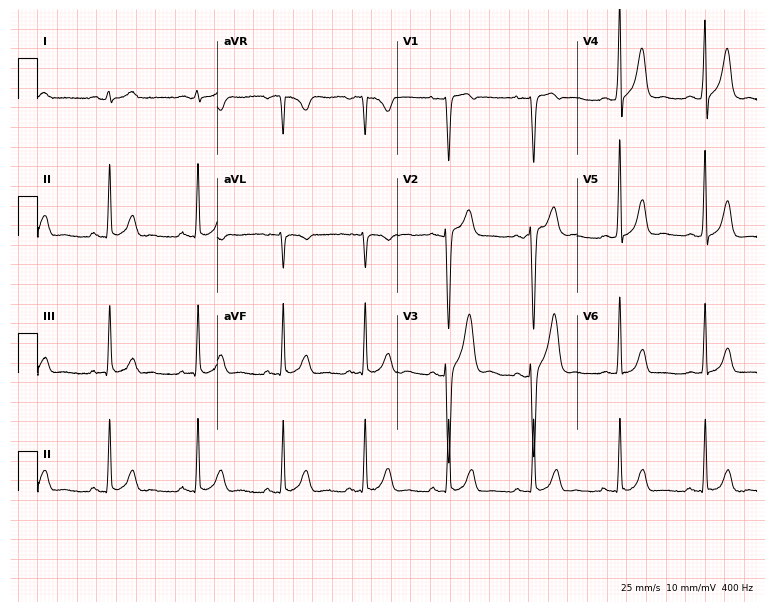
12-lead ECG from a 45-year-old male patient (7.3-second recording at 400 Hz). Recorded interpretation: within normal limits.